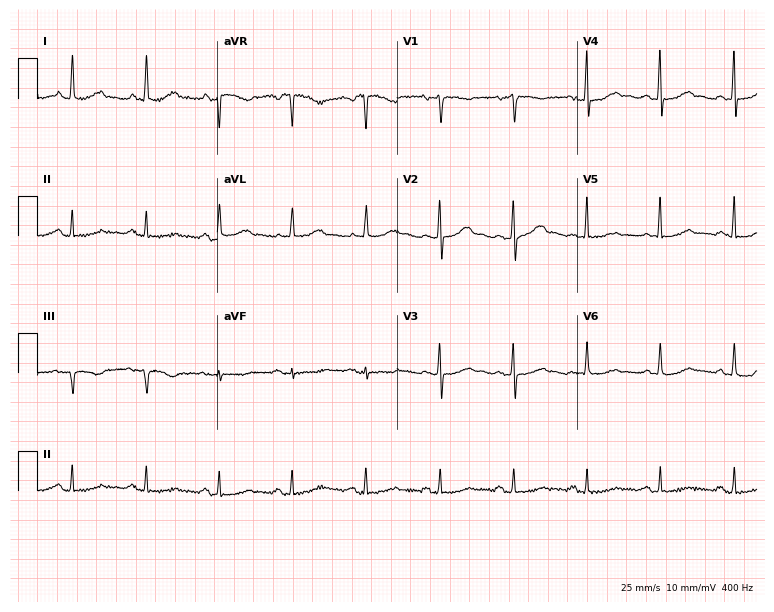
12-lead ECG (7.3-second recording at 400 Hz) from a female, 72 years old. Labelled as a normal ECG.